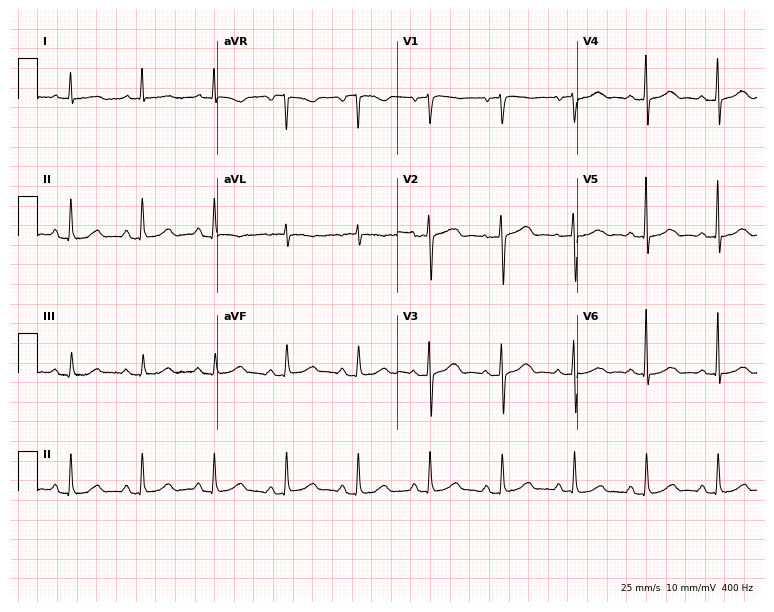
12-lead ECG from a 78-year-old female (7.3-second recording at 400 Hz). No first-degree AV block, right bundle branch block (RBBB), left bundle branch block (LBBB), sinus bradycardia, atrial fibrillation (AF) or sinus tachycardia recorded for this tracing. Findings outside these six are not listed.